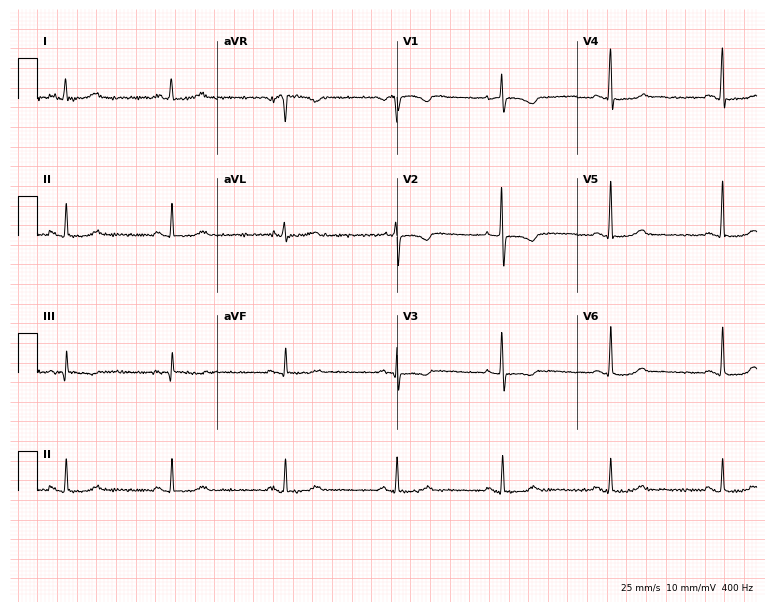
Resting 12-lead electrocardiogram (7.3-second recording at 400 Hz). Patient: a female, 66 years old. None of these six findings is recorded: first-degree AV block, right bundle branch block, left bundle branch block, sinus bradycardia, atrial fibrillation, sinus tachycardia.